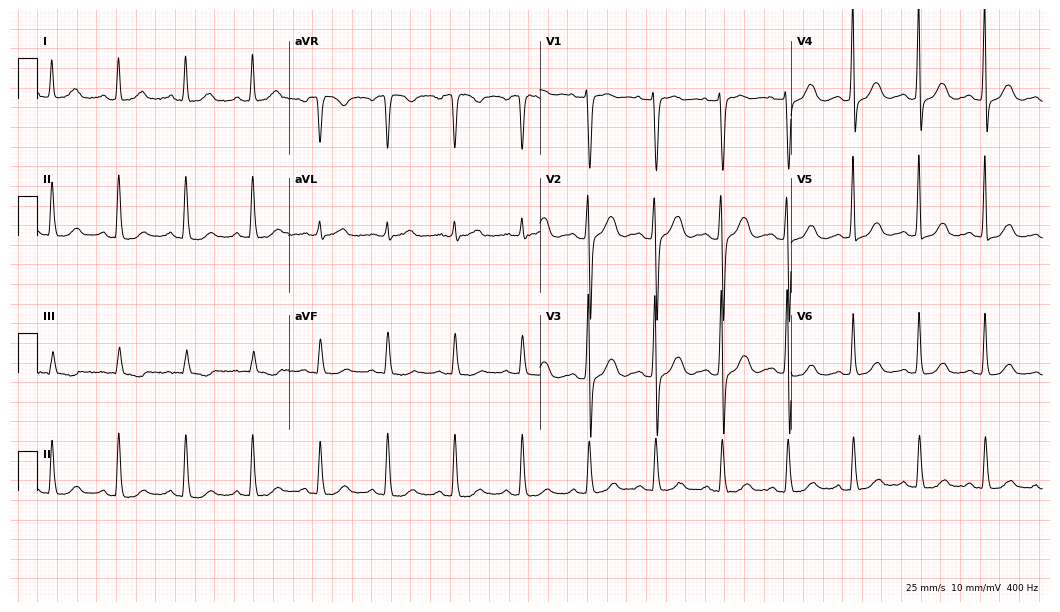
Resting 12-lead electrocardiogram (10.2-second recording at 400 Hz). Patient: a female, 62 years old. Read as a normal ECG.